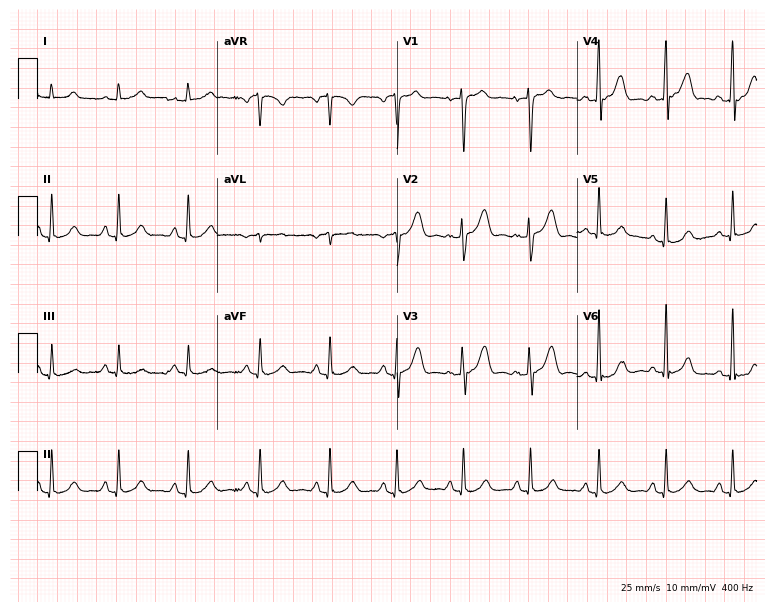
ECG — a 63-year-old male patient. Labelled as a normal ECG.